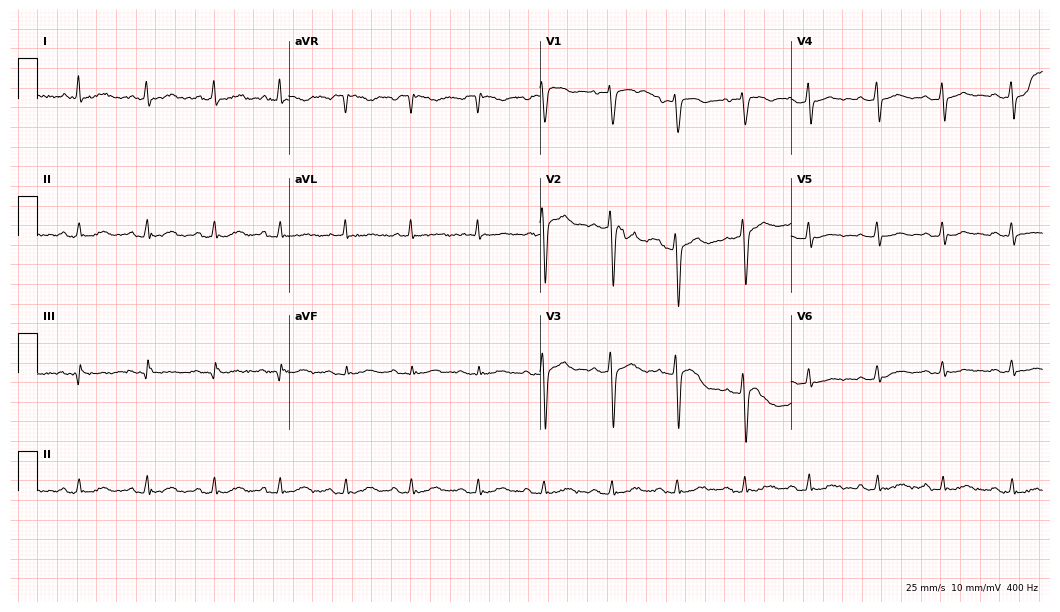
Resting 12-lead electrocardiogram. Patient: a 71-year-old female. None of these six findings is recorded: first-degree AV block, right bundle branch block, left bundle branch block, sinus bradycardia, atrial fibrillation, sinus tachycardia. Only these six findings were labelled.